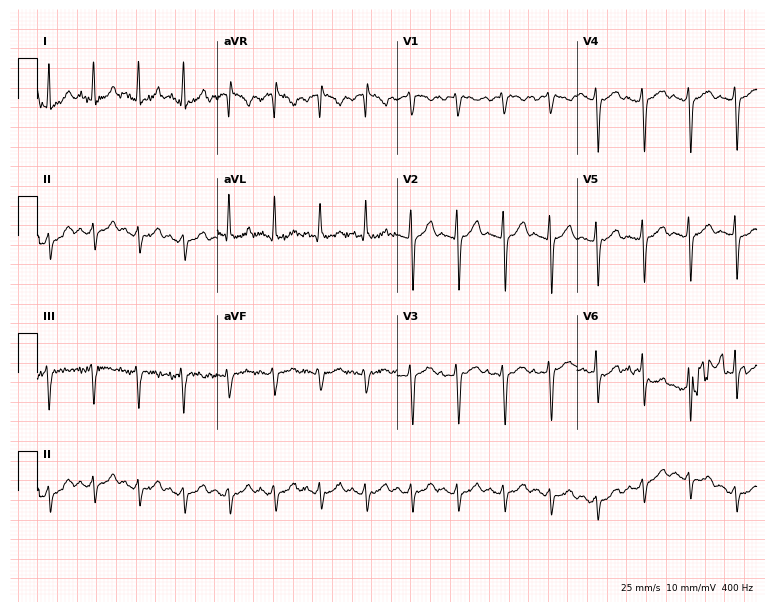
ECG (7.3-second recording at 400 Hz) — a woman, 46 years old. Findings include sinus tachycardia (a sinus rate of 100 beats per minute or more).